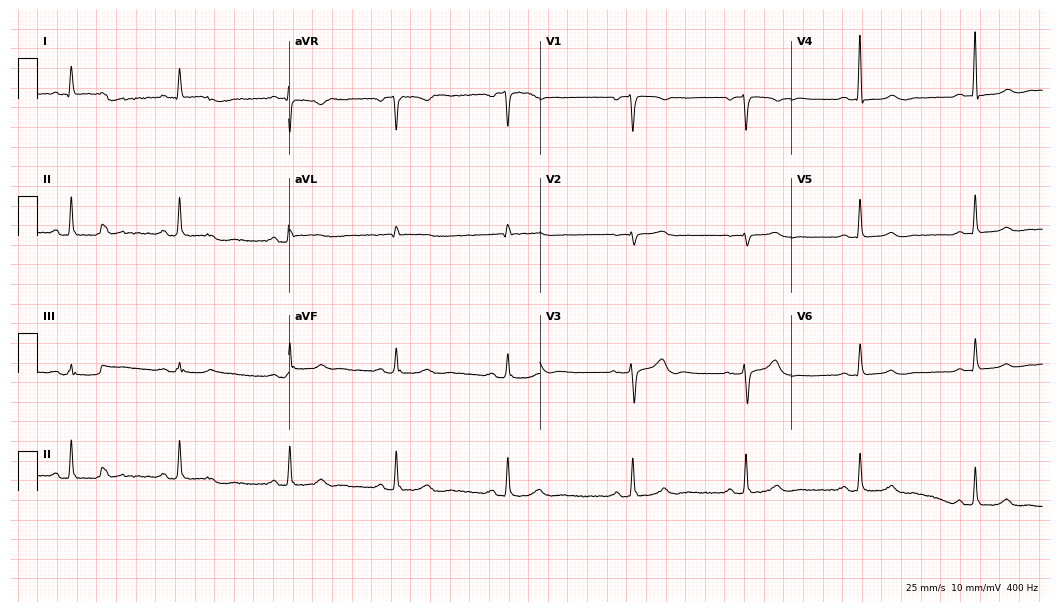
ECG — a female, 63 years old. Screened for six findings — first-degree AV block, right bundle branch block, left bundle branch block, sinus bradycardia, atrial fibrillation, sinus tachycardia — none is recorded. Other findings, if any, are not listed.